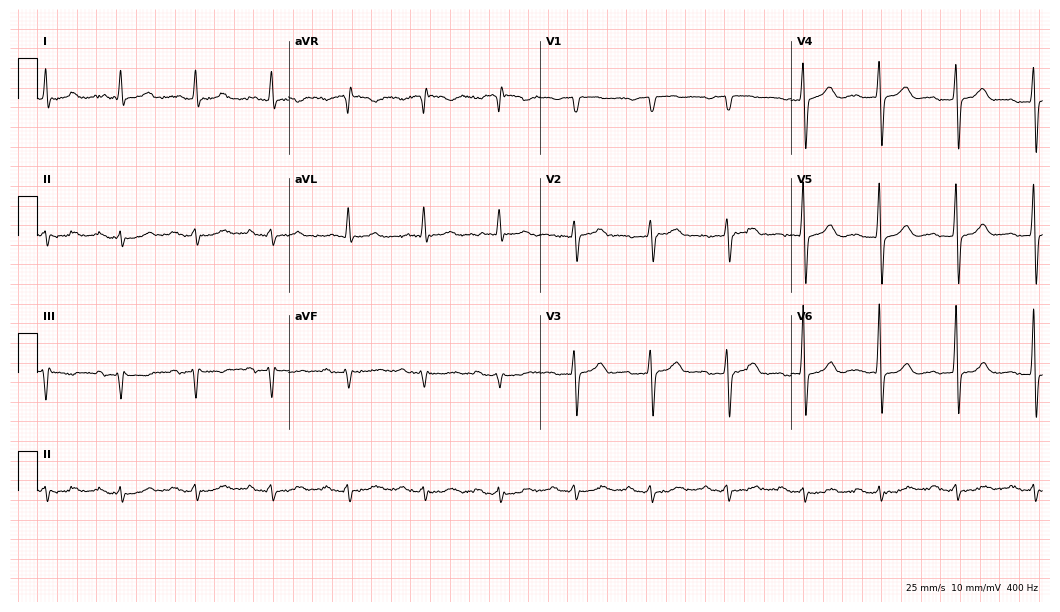
Resting 12-lead electrocardiogram. Patient: a male, 82 years old. None of these six findings is recorded: first-degree AV block, right bundle branch block, left bundle branch block, sinus bradycardia, atrial fibrillation, sinus tachycardia. Only these six findings were labelled.